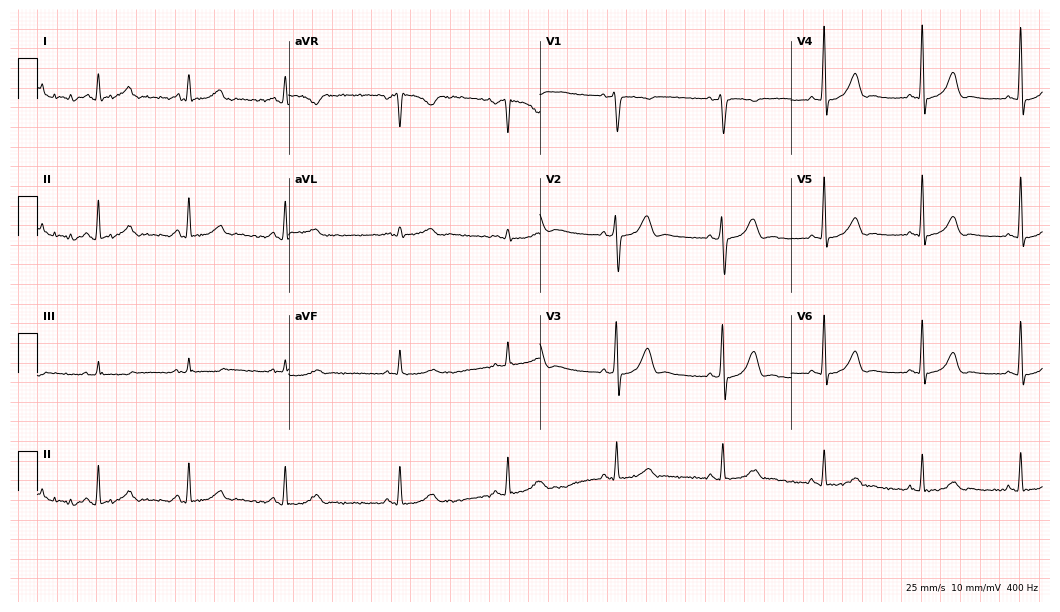
Resting 12-lead electrocardiogram (10.2-second recording at 400 Hz). Patient: a woman, 42 years old. Read as a normal ECG.